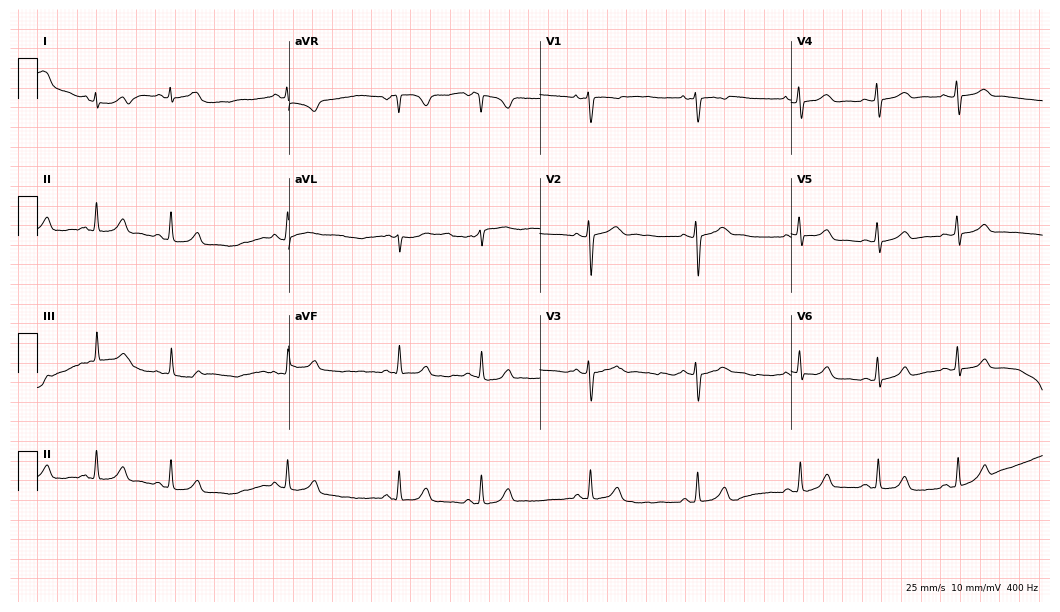
Standard 12-lead ECG recorded from a 22-year-old female patient. Read as a normal ECG.